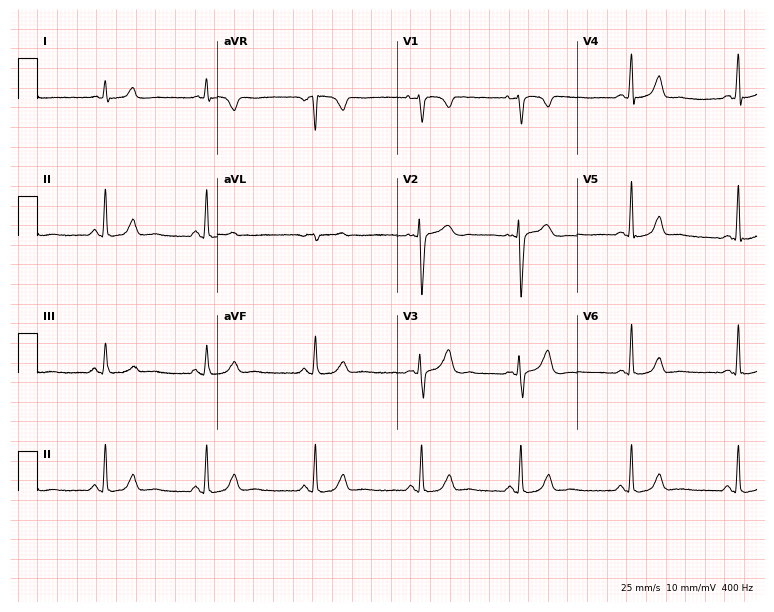
12-lead ECG (7.3-second recording at 400 Hz) from a 30-year-old female. Labelled as a normal ECG.